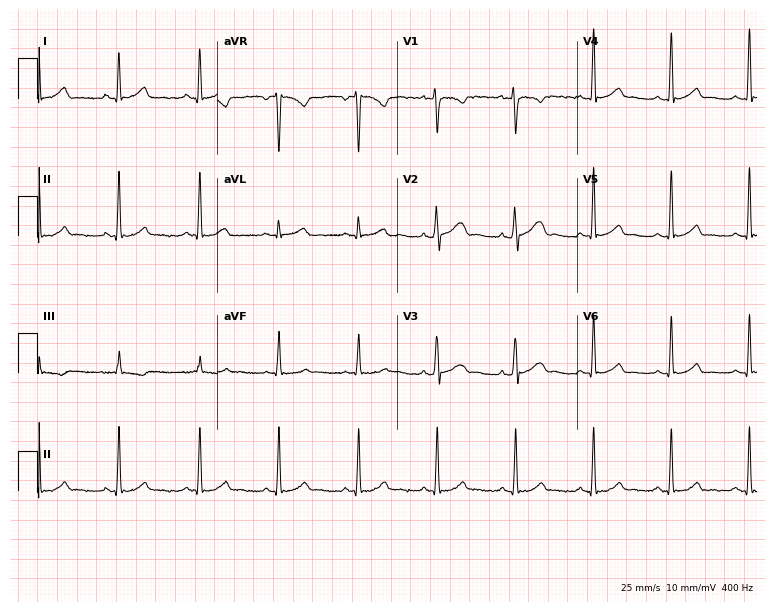
Resting 12-lead electrocardiogram (7.3-second recording at 400 Hz). Patient: a female, 41 years old. Read as a normal ECG.